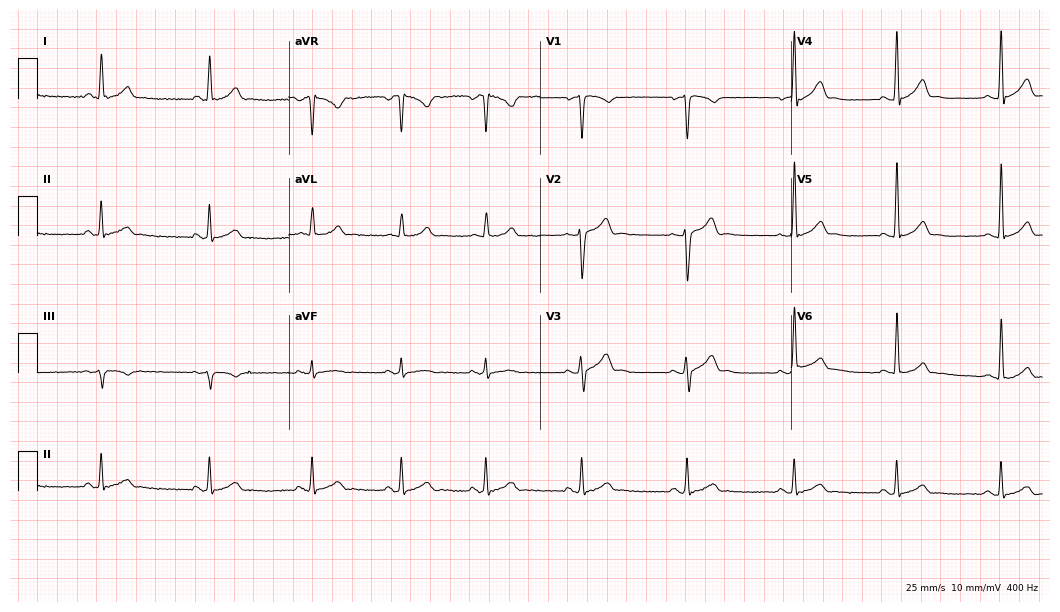
Standard 12-lead ECG recorded from a man, 27 years old (10.2-second recording at 400 Hz). Read as a normal ECG.